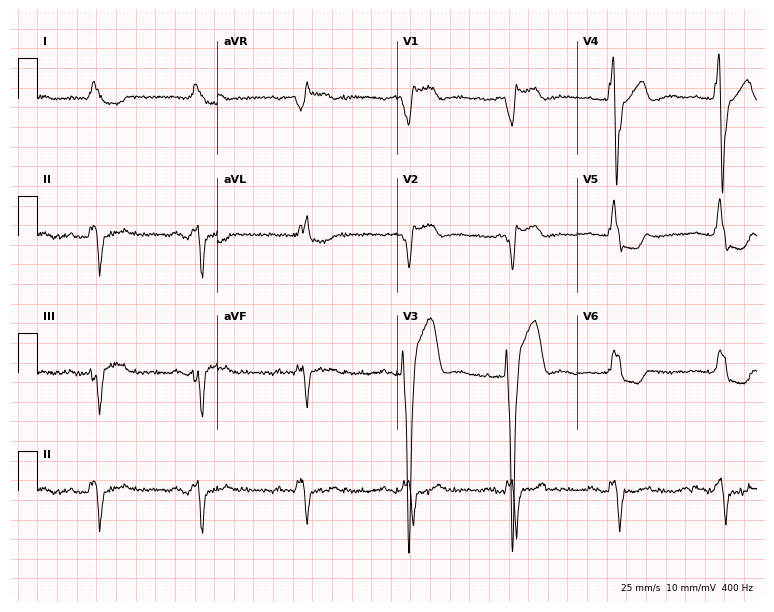
ECG — an 82-year-old woman. Screened for six findings — first-degree AV block, right bundle branch block (RBBB), left bundle branch block (LBBB), sinus bradycardia, atrial fibrillation (AF), sinus tachycardia — none is recorded.